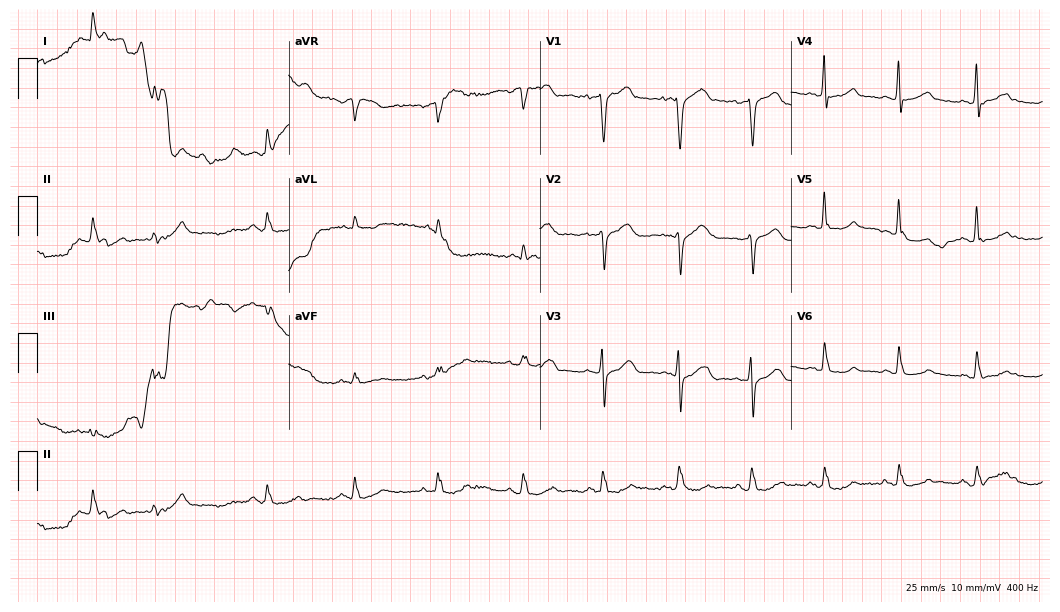
12-lead ECG (10.2-second recording at 400 Hz) from a male patient, 80 years old. Labelled as a normal ECG.